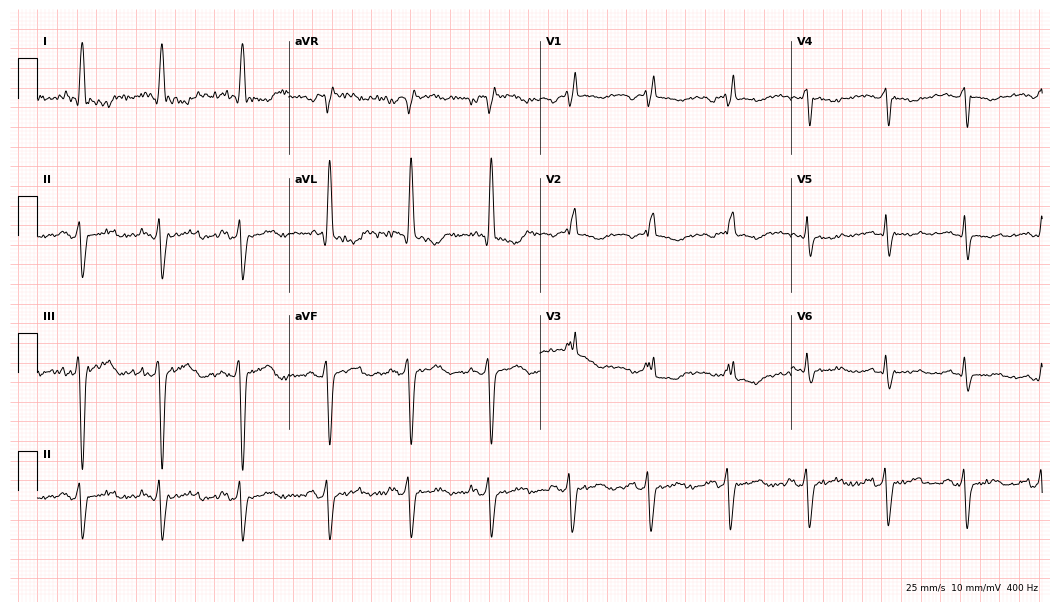
Electrocardiogram (10.2-second recording at 400 Hz), a woman, 69 years old. Interpretation includes right bundle branch block (RBBB).